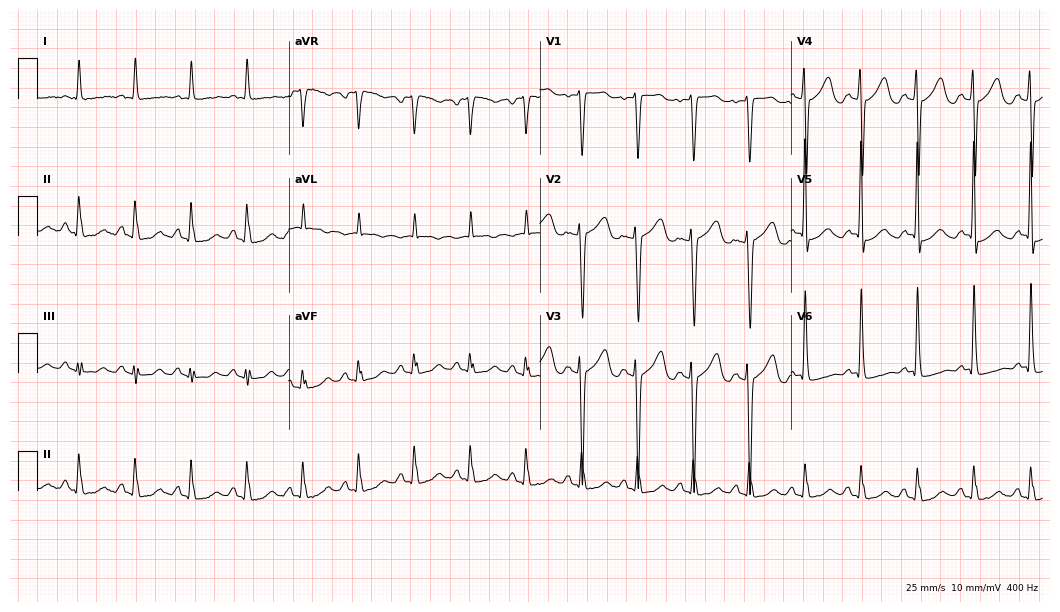
12-lead ECG from a woman, 59 years old (10.2-second recording at 400 Hz). Shows sinus tachycardia (a sinus rate of 100 beats per minute or more).